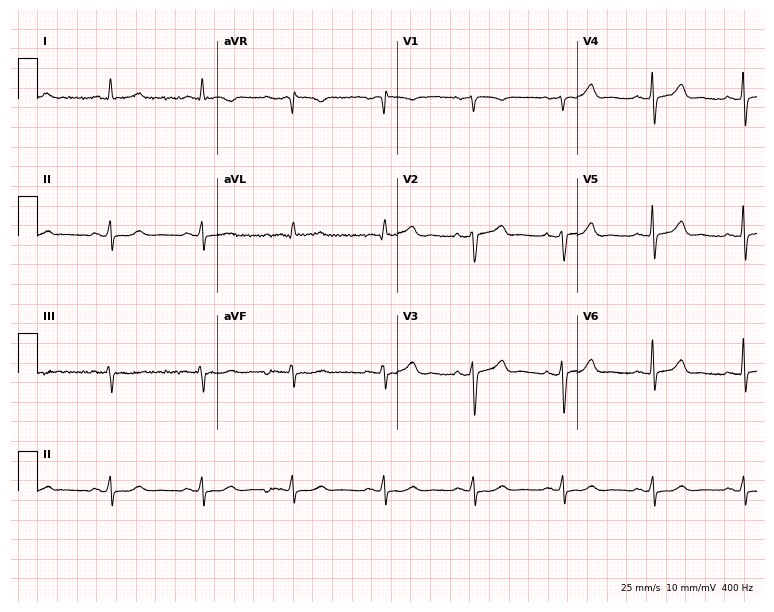
12-lead ECG from a man, 75 years old. Labelled as a normal ECG.